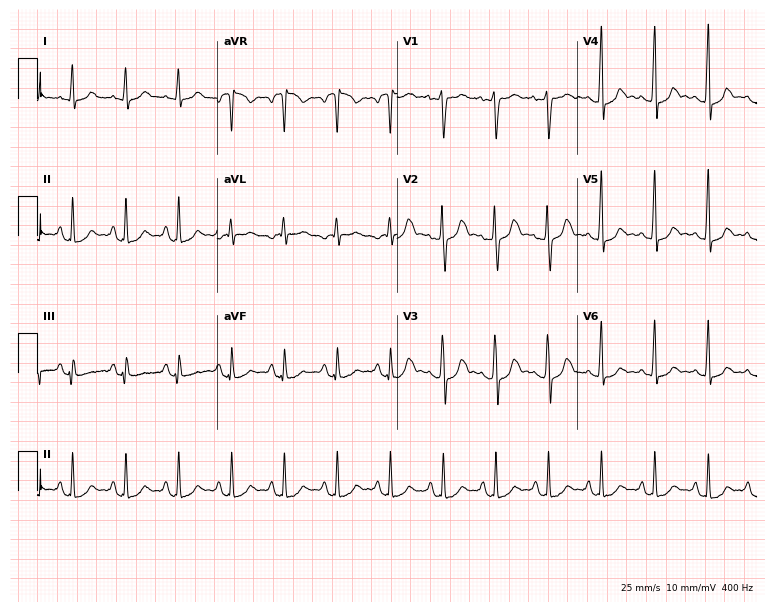
Resting 12-lead electrocardiogram (7.3-second recording at 400 Hz). Patient: a 36-year-old female. None of these six findings is recorded: first-degree AV block, right bundle branch block (RBBB), left bundle branch block (LBBB), sinus bradycardia, atrial fibrillation (AF), sinus tachycardia. Other findings, if any, are not listed.